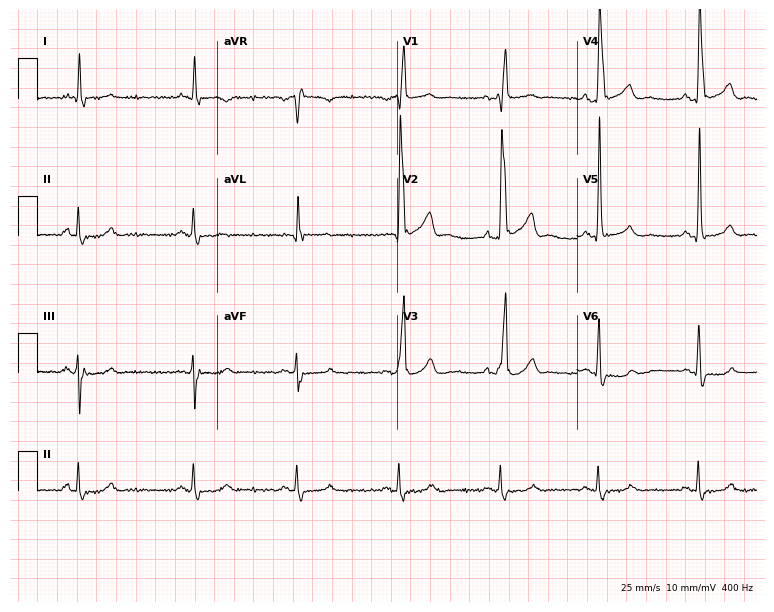
12-lead ECG from a man, 65 years old. Shows right bundle branch block.